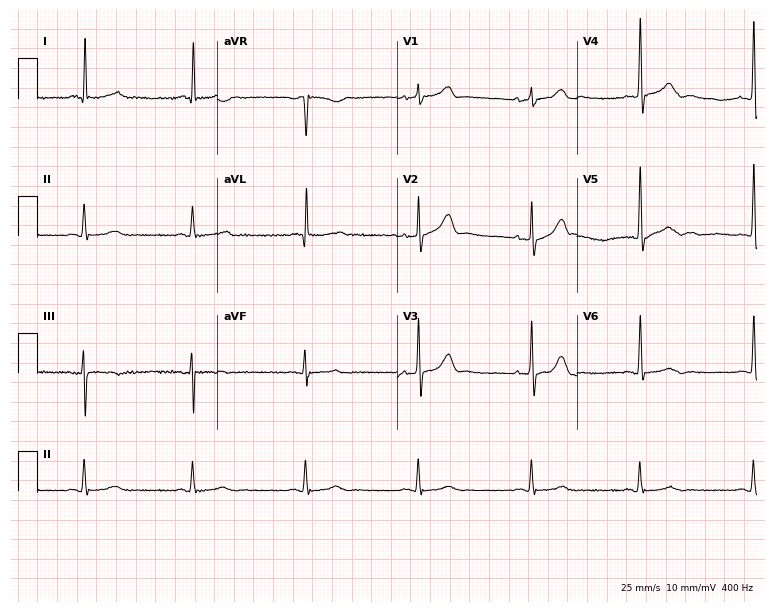
Electrocardiogram, a female, 79 years old. Of the six screened findings (first-degree AV block, right bundle branch block, left bundle branch block, sinus bradycardia, atrial fibrillation, sinus tachycardia), none is recorded.